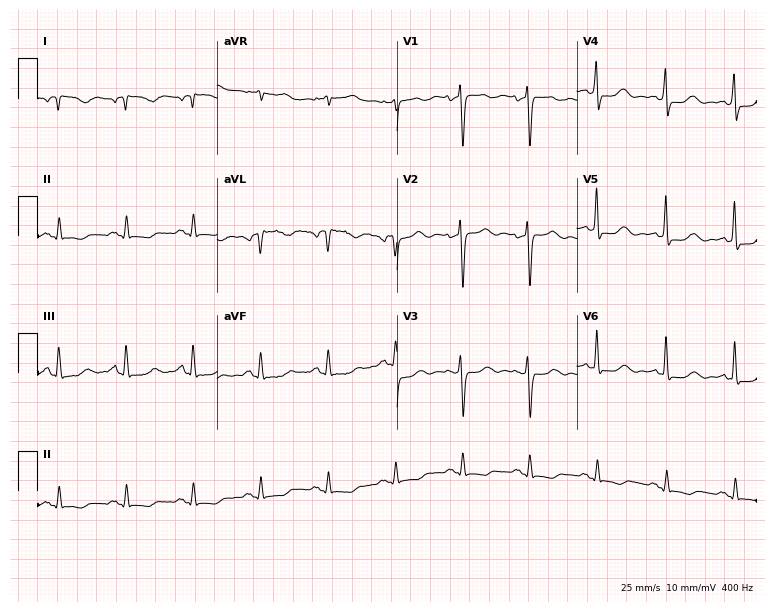
Electrocardiogram, a woman, 66 years old. Of the six screened findings (first-degree AV block, right bundle branch block (RBBB), left bundle branch block (LBBB), sinus bradycardia, atrial fibrillation (AF), sinus tachycardia), none is recorded. Other findings, if any, are not listed.